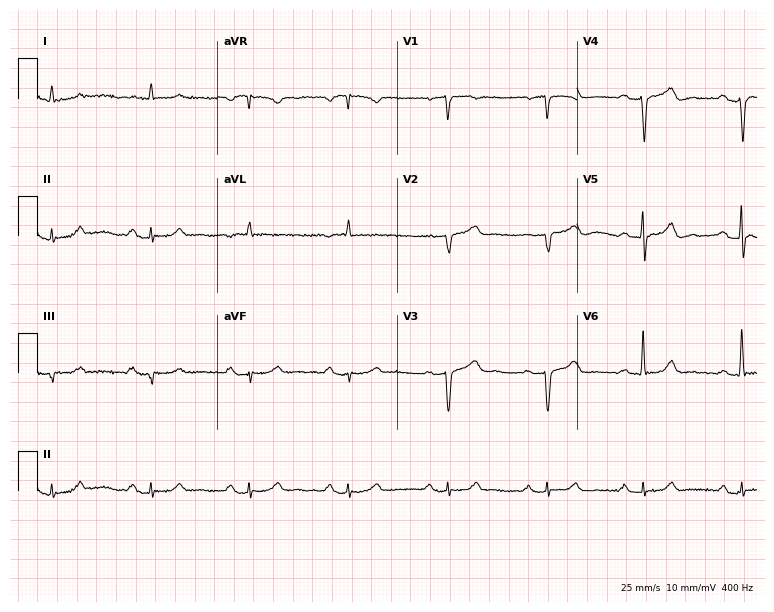
12-lead ECG (7.3-second recording at 400 Hz) from a 77-year-old man. Screened for six findings — first-degree AV block, right bundle branch block, left bundle branch block, sinus bradycardia, atrial fibrillation, sinus tachycardia — none is recorded.